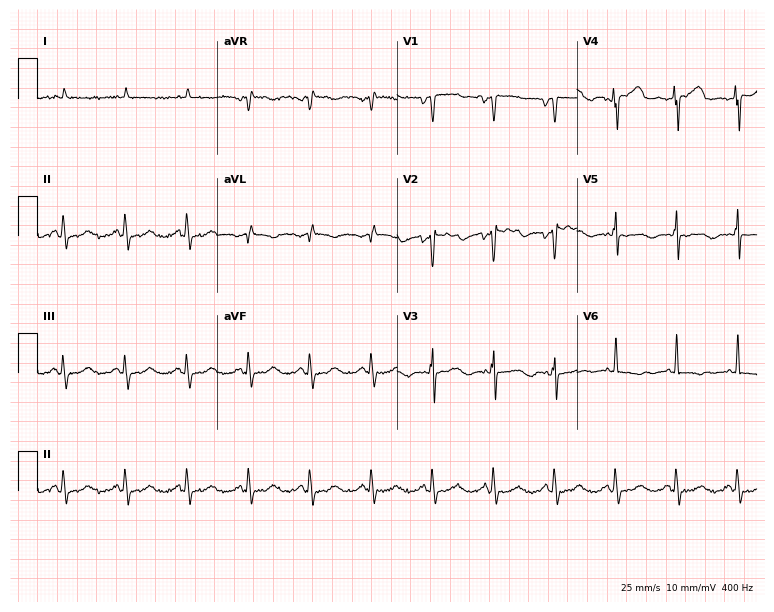
Resting 12-lead electrocardiogram (7.3-second recording at 400 Hz). Patient: a man, 83 years old. None of these six findings is recorded: first-degree AV block, right bundle branch block, left bundle branch block, sinus bradycardia, atrial fibrillation, sinus tachycardia. Only these six findings were labelled.